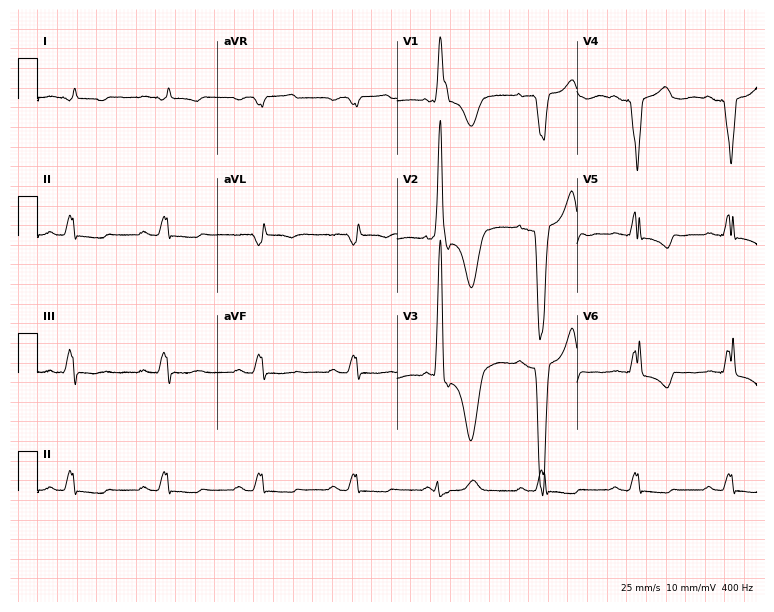
Standard 12-lead ECG recorded from a 79-year-old man (7.3-second recording at 400 Hz). The tracing shows left bundle branch block.